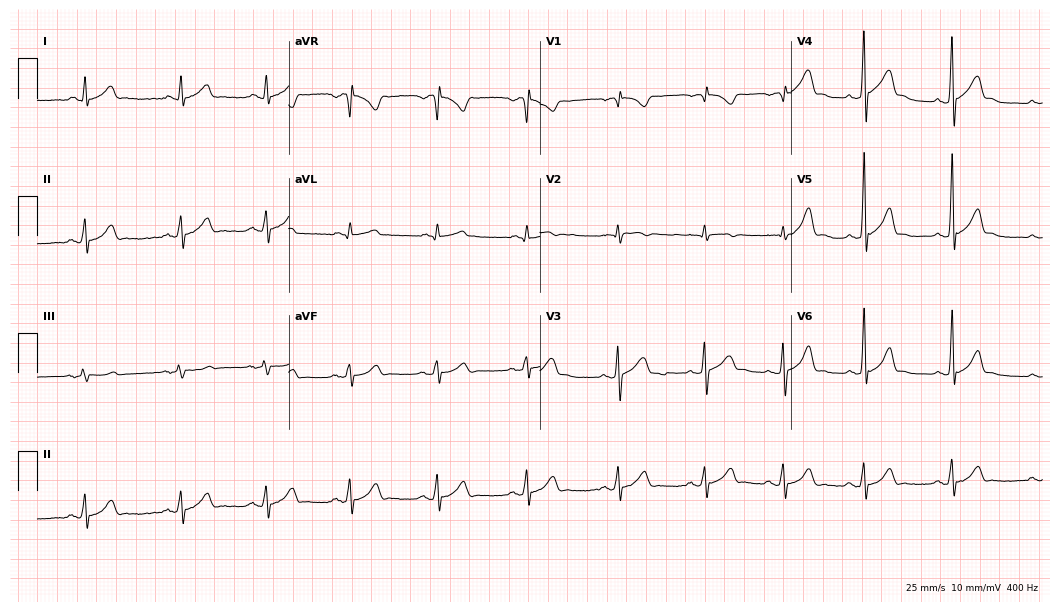
Resting 12-lead electrocardiogram (10.2-second recording at 400 Hz). Patient: a male, 25 years old. Read as a normal ECG.